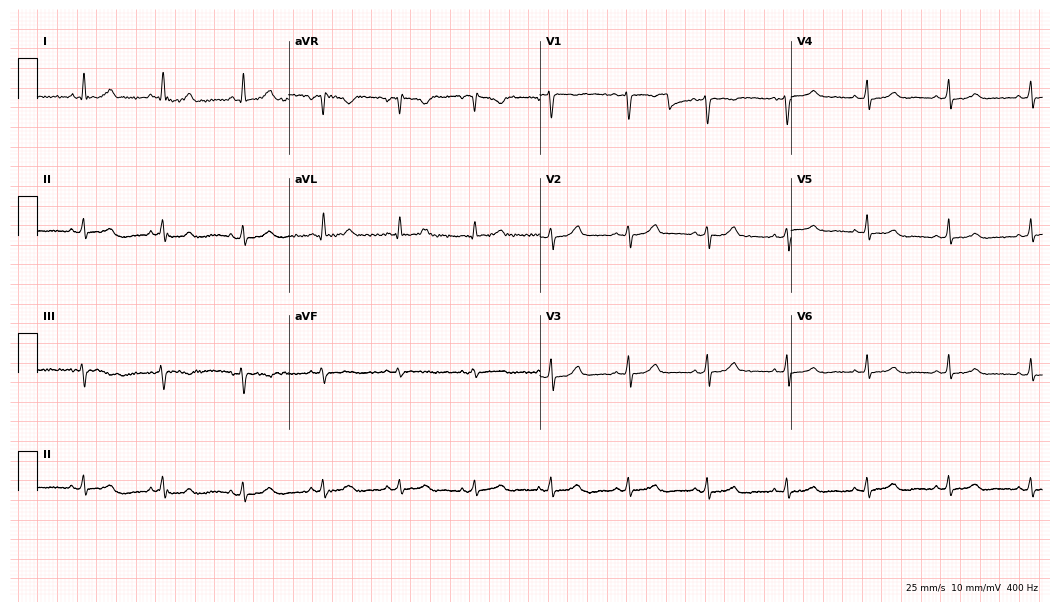
Standard 12-lead ECG recorded from a female patient, 40 years old. Read as a normal ECG.